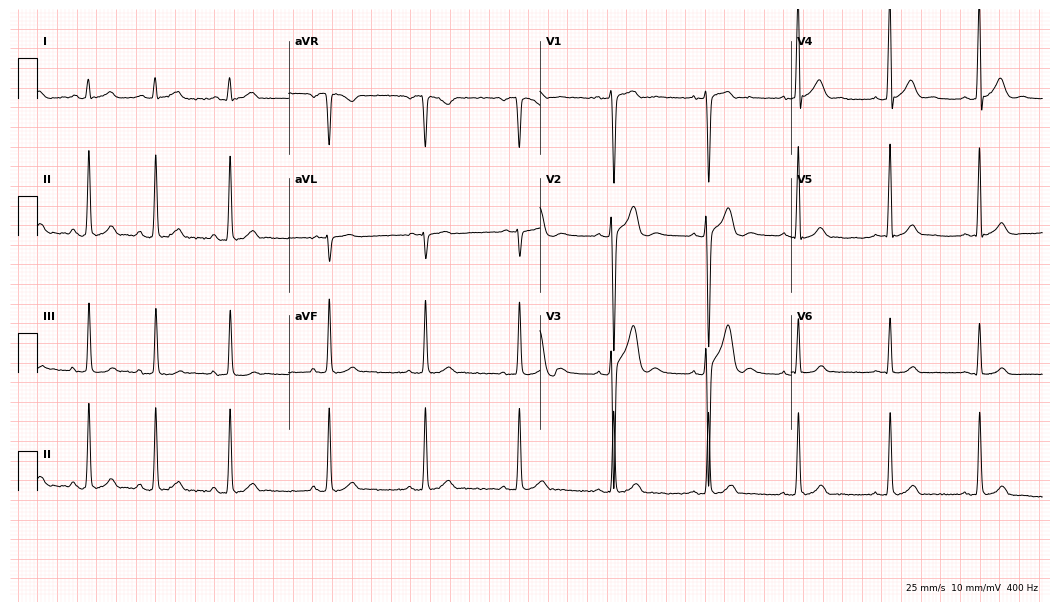
Electrocardiogram, a man, 18 years old. Overall reading on record: normal ECG.